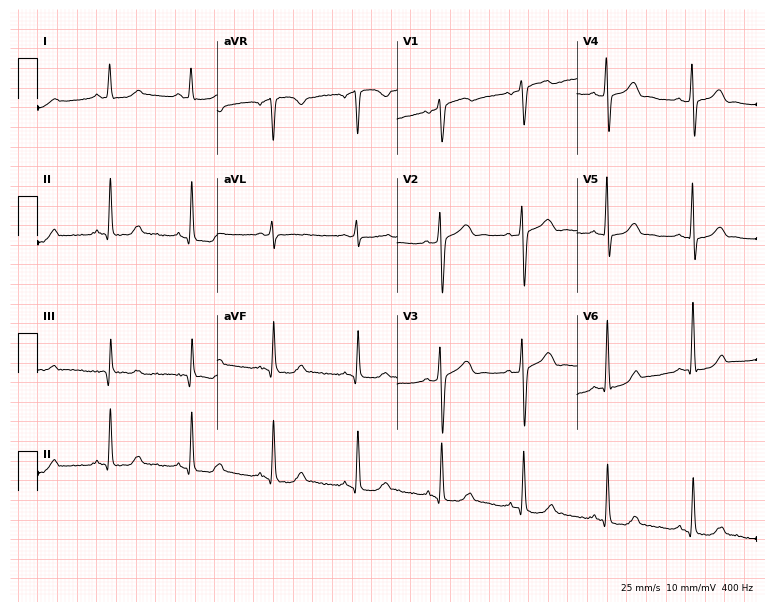
Standard 12-lead ECG recorded from a 37-year-old woman (7.3-second recording at 400 Hz). None of these six findings is recorded: first-degree AV block, right bundle branch block, left bundle branch block, sinus bradycardia, atrial fibrillation, sinus tachycardia.